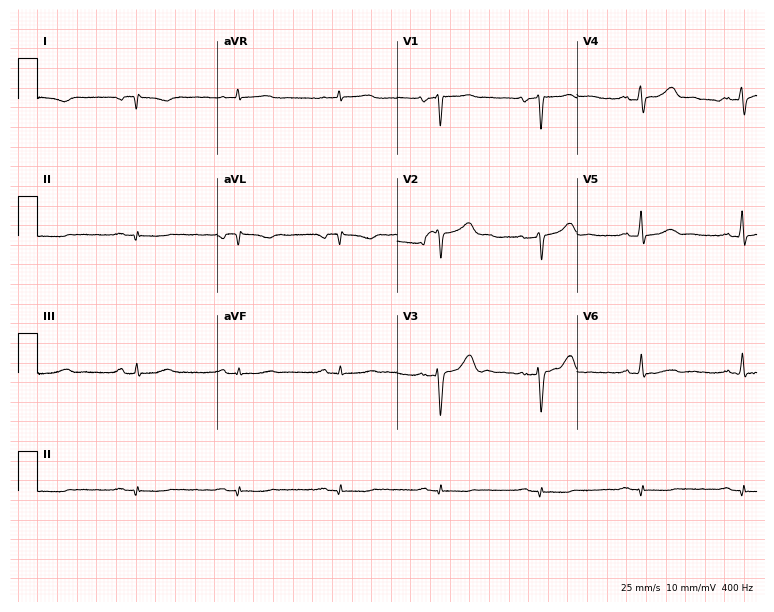
Standard 12-lead ECG recorded from a 58-year-old male patient (7.3-second recording at 400 Hz). Read as a normal ECG.